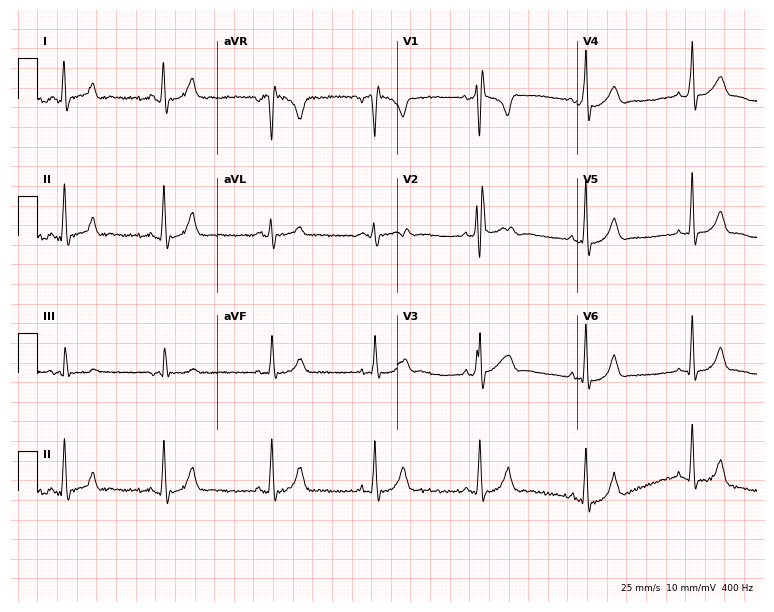
Electrocardiogram (7.3-second recording at 400 Hz), a 35-year-old male. Of the six screened findings (first-degree AV block, right bundle branch block (RBBB), left bundle branch block (LBBB), sinus bradycardia, atrial fibrillation (AF), sinus tachycardia), none is recorded. Findings outside these six are not listed.